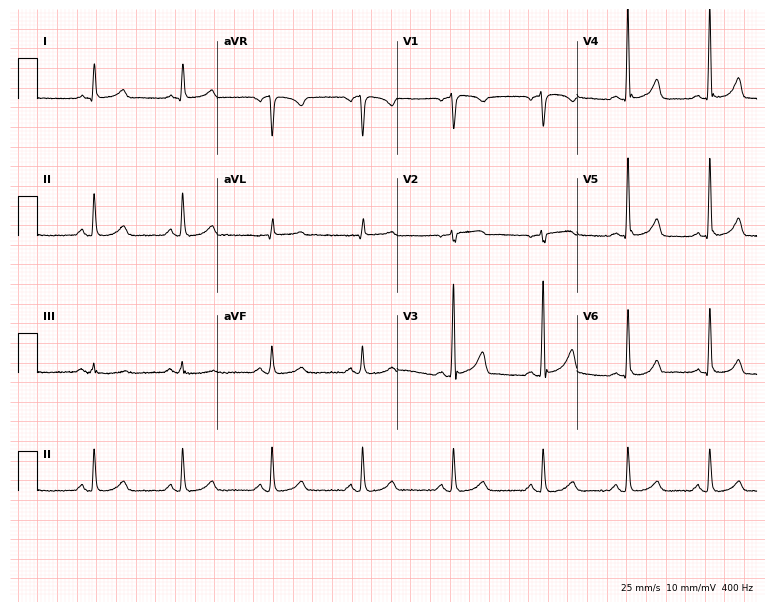
Resting 12-lead electrocardiogram. Patient: a female, 41 years old. Read as a normal ECG.